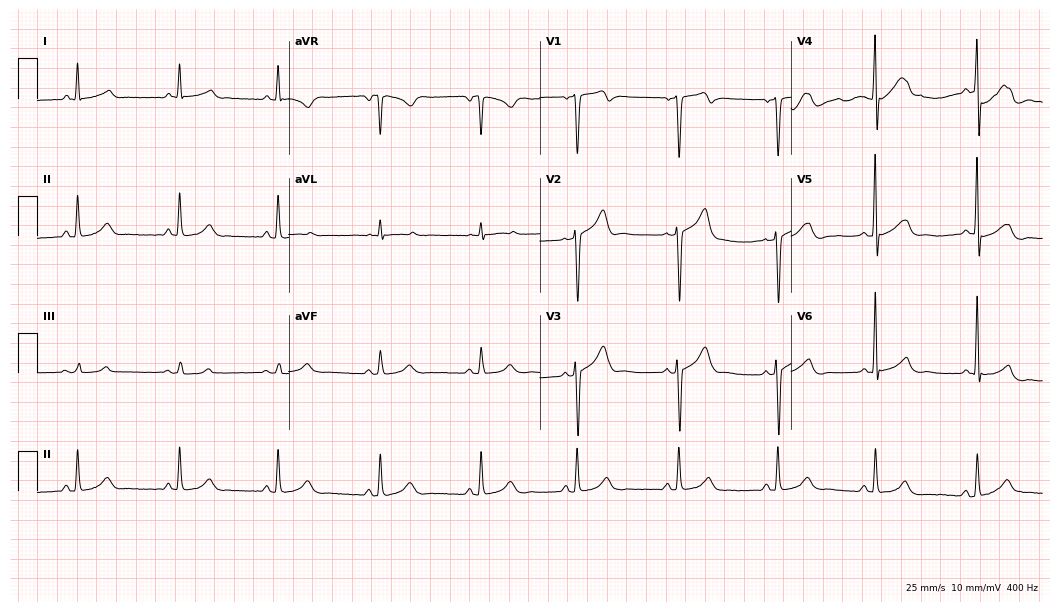
ECG — a 64-year-old man. Screened for six findings — first-degree AV block, right bundle branch block, left bundle branch block, sinus bradycardia, atrial fibrillation, sinus tachycardia — none is recorded.